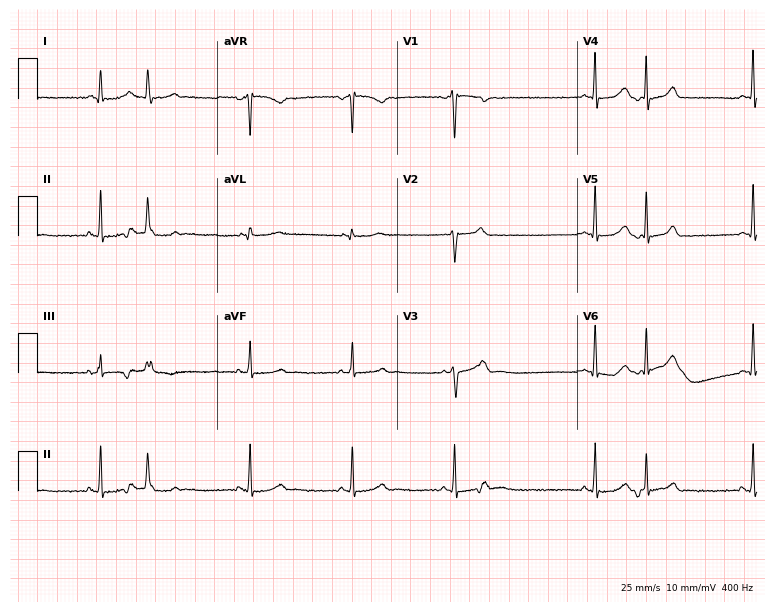
Electrocardiogram (7.3-second recording at 400 Hz), a female patient, 39 years old. Of the six screened findings (first-degree AV block, right bundle branch block, left bundle branch block, sinus bradycardia, atrial fibrillation, sinus tachycardia), none is recorded. Only these six findings were labelled.